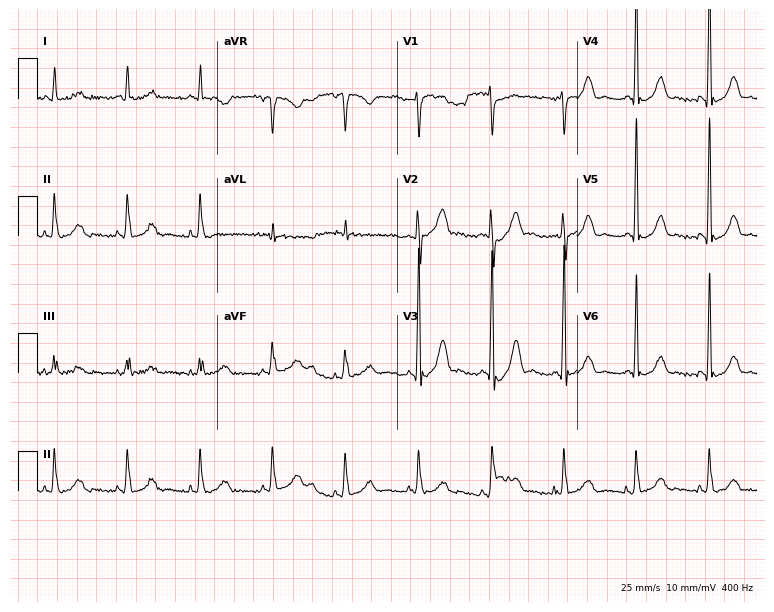
Resting 12-lead electrocardiogram. Patient: a male, 80 years old. None of these six findings is recorded: first-degree AV block, right bundle branch block, left bundle branch block, sinus bradycardia, atrial fibrillation, sinus tachycardia.